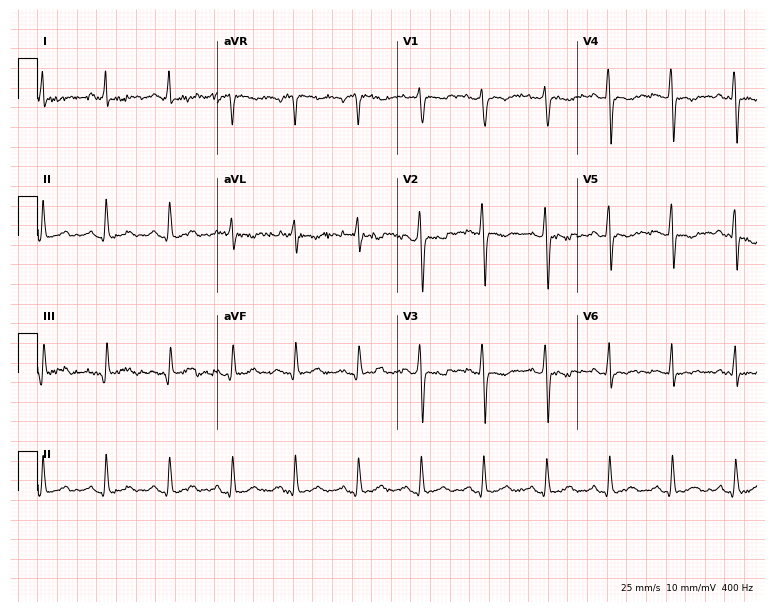
12-lead ECG from a woman, 29 years old. Screened for six findings — first-degree AV block, right bundle branch block (RBBB), left bundle branch block (LBBB), sinus bradycardia, atrial fibrillation (AF), sinus tachycardia — none is recorded. Other findings, if any, are not listed.